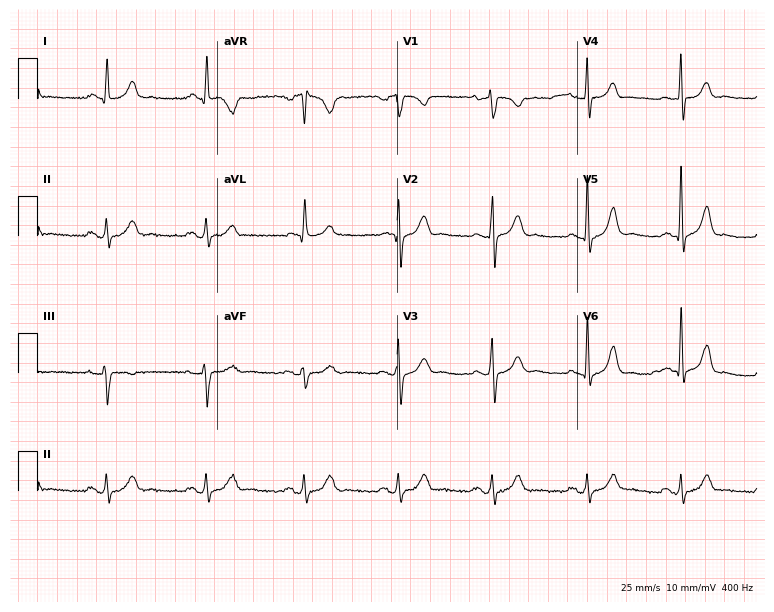
12-lead ECG from a 67-year-old male patient (7.3-second recording at 400 Hz). No first-degree AV block, right bundle branch block (RBBB), left bundle branch block (LBBB), sinus bradycardia, atrial fibrillation (AF) or sinus tachycardia recorded for this tracing.